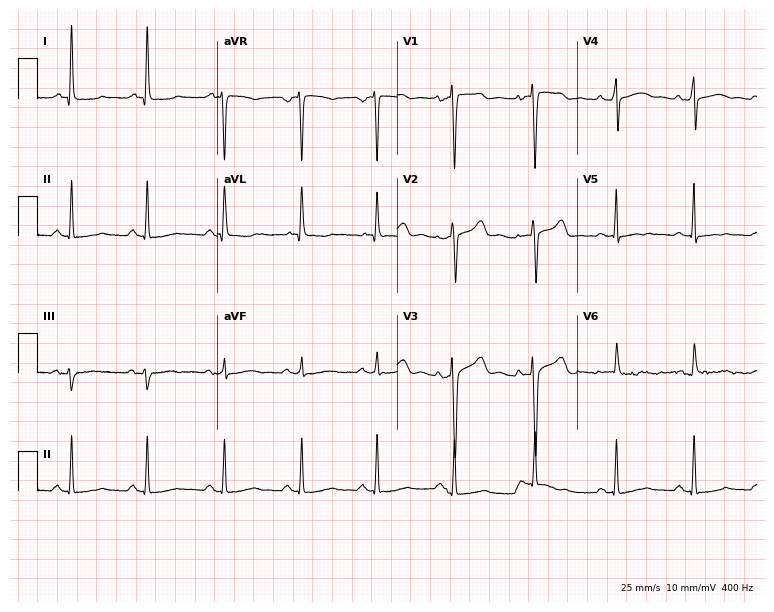
Resting 12-lead electrocardiogram. Patient: a 52-year-old female. None of these six findings is recorded: first-degree AV block, right bundle branch block, left bundle branch block, sinus bradycardia, atrial fibrillation, sinus tachycardia.